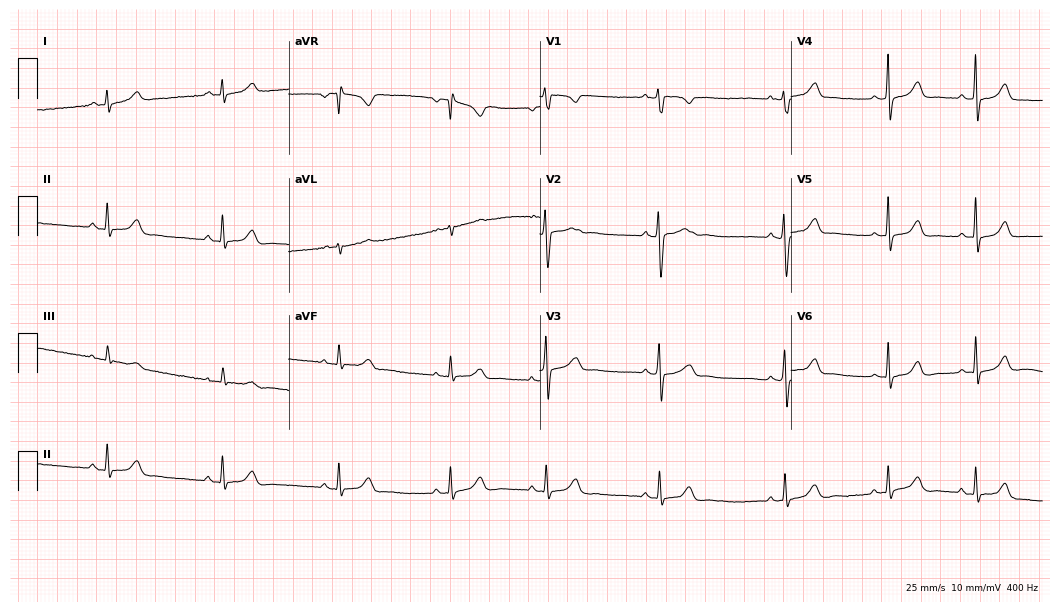
Standard 12-lead ECG recorded from a female, 25 years old. Read as a normal ECG.